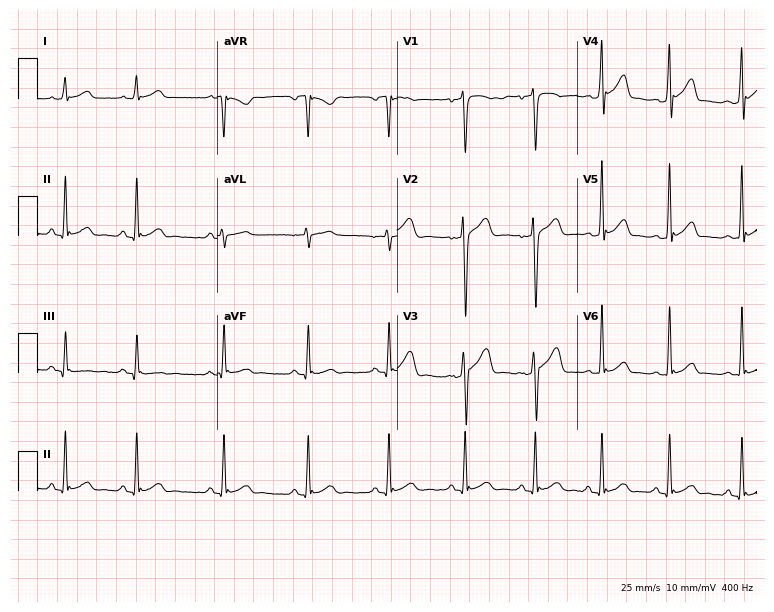
Standard 12-lead ECG recorded from a man, 24 years old (7.3-second recording at 400 Hz). None of these six findings is recorded: first-degree AV block, right bundle branch block (RBBB), left bundle branch block (LBBB), sinus bradycardia, atrial fibrillation (AF), sinus tachycardia. Only these six findings were labelled.